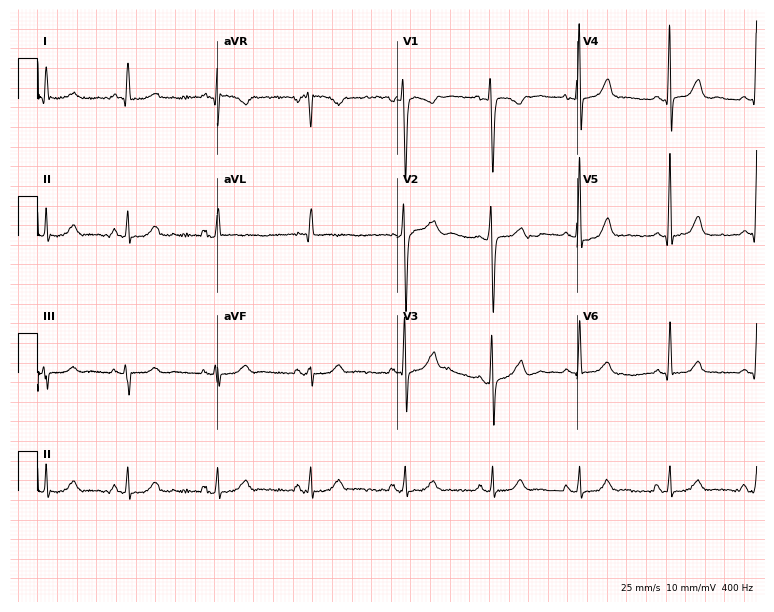
12-lead ECG (7.3-second recording at 400 Hz) from a 36-year-old woman. Screened for six findings — first-degree AV block, right bundle branch block (RBBB), left bundle branch block (LBBB), sinus bradycardia, atrial fibrillation (AF), sinus tachycardia — none is recorded. Only these six findings were labelled.